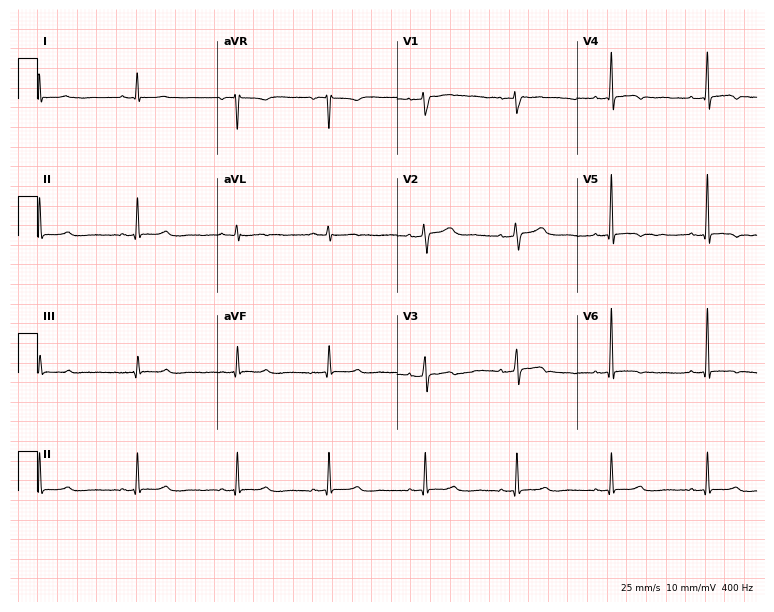
Electrocardiogram (7.3-second recording at 400 Hz), a 42-year-old female patient. Of the six screened findings (first-degree AV block, right bundle branch block, left bundle branch block, sinus bradycardia, atrial fibrillation, sinus tachycardia), none is recorded.